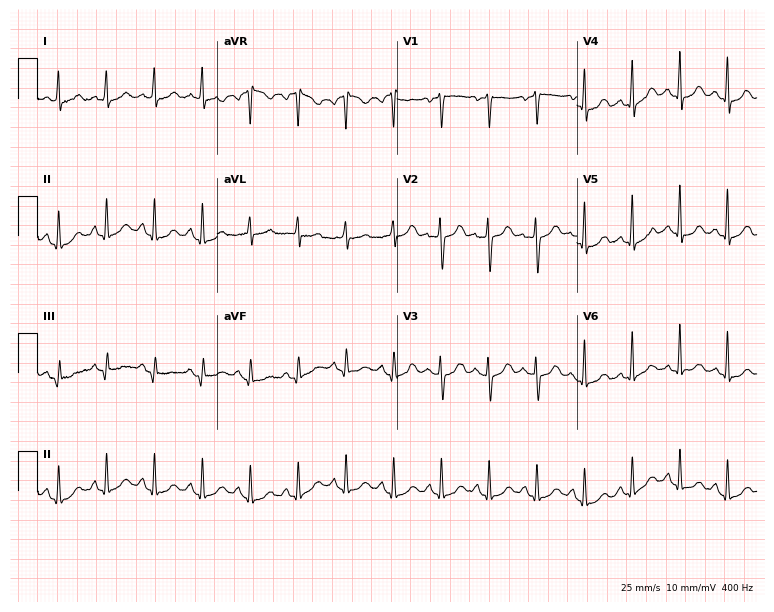
ECG — a 56-year-old woman. Findings include sinus tachycardia (a sinus rate of 100 beats per minute or more).